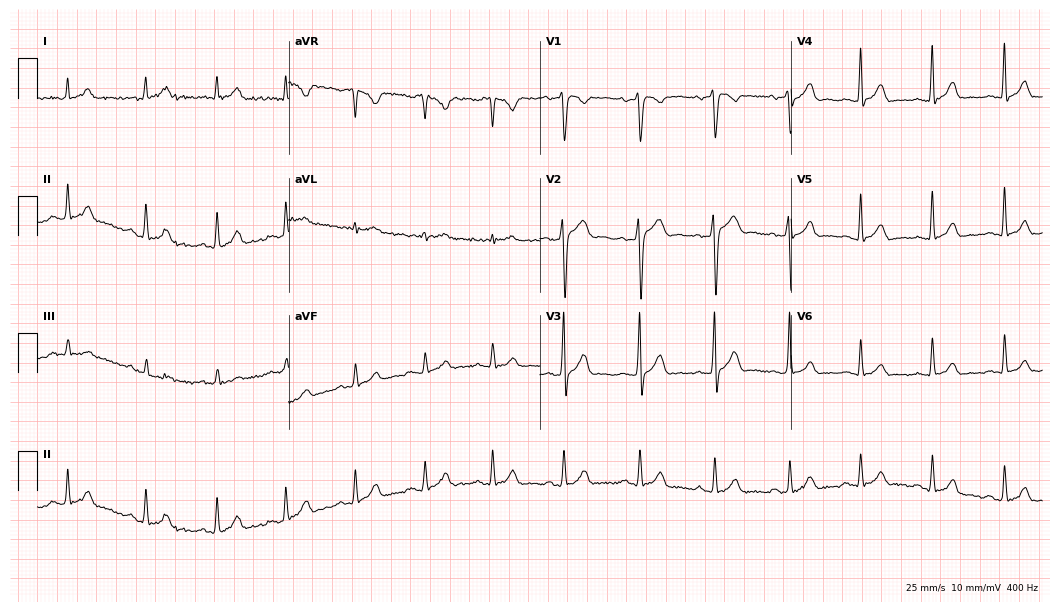
12-lead ECG from a female patient, 25 years old (10.2-second recording at 400 Hz). Recorded interpretation: within normal limits.